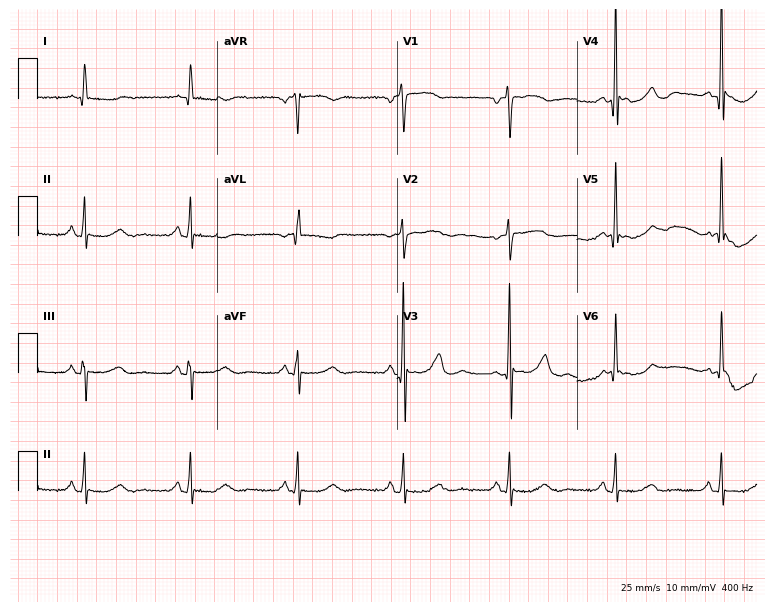
Electrocardiogram, a woman, 71 years old. Of the six screened findings (first-degree AV block, right bundle branch block (RBBB), left bundle branch block (LBBB), sinus bradycardia, atrial fibrillation (AF), sinus tachycardia), none is recorded.